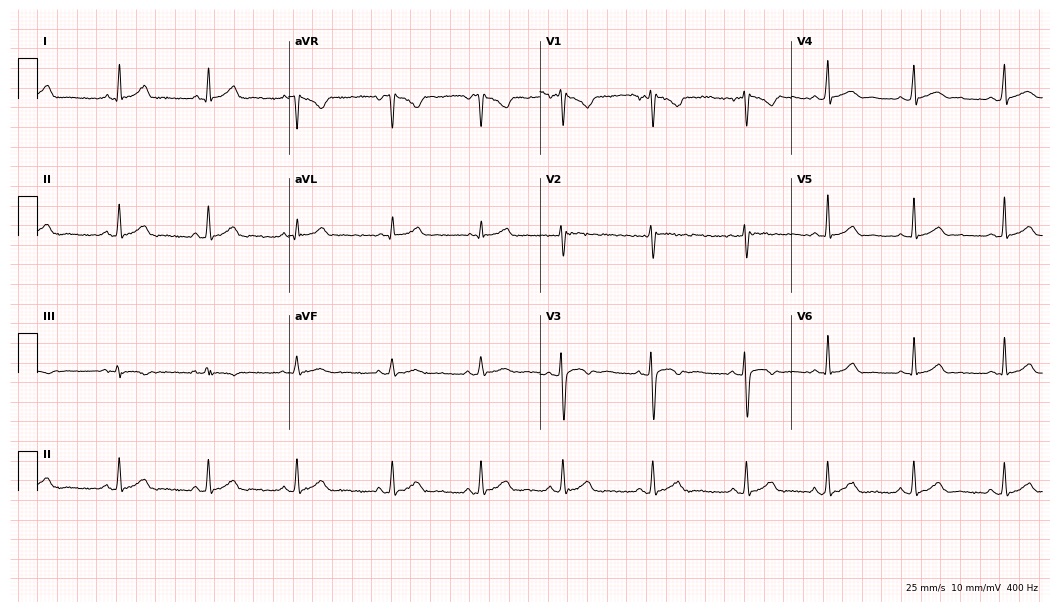
12-lead ECG from a 30-year-old female patient. Recorded interpretation: within normal limits.